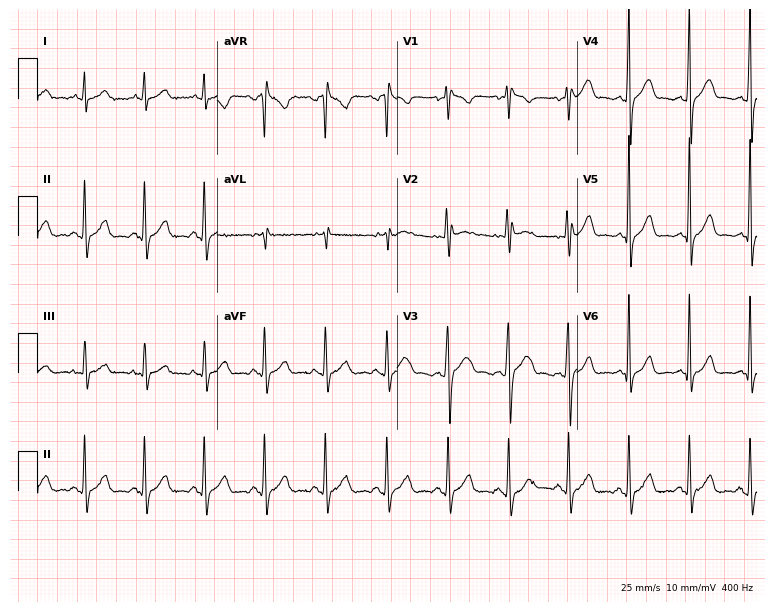
12-lead ECG from a 19-year-old male patient. Recorded interpretation: within normal limits.